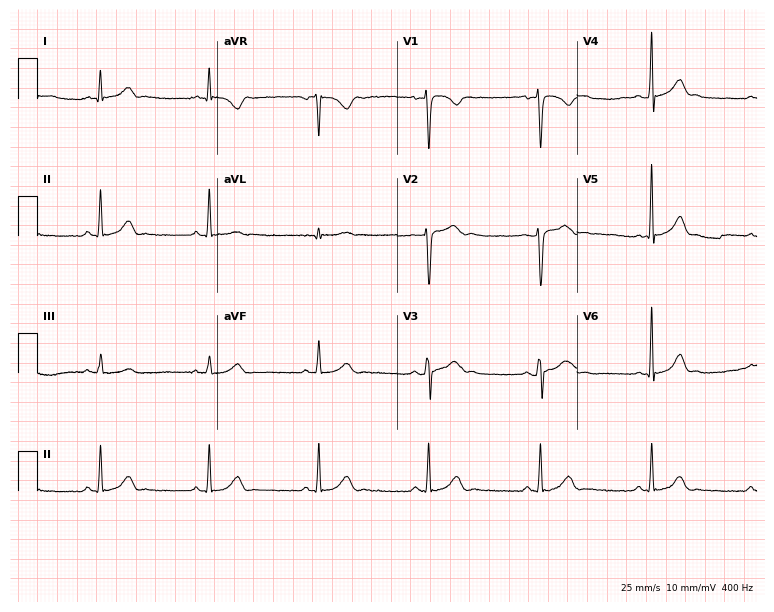
ECG — a man, 37 years old. Labelled as a normal ECG.